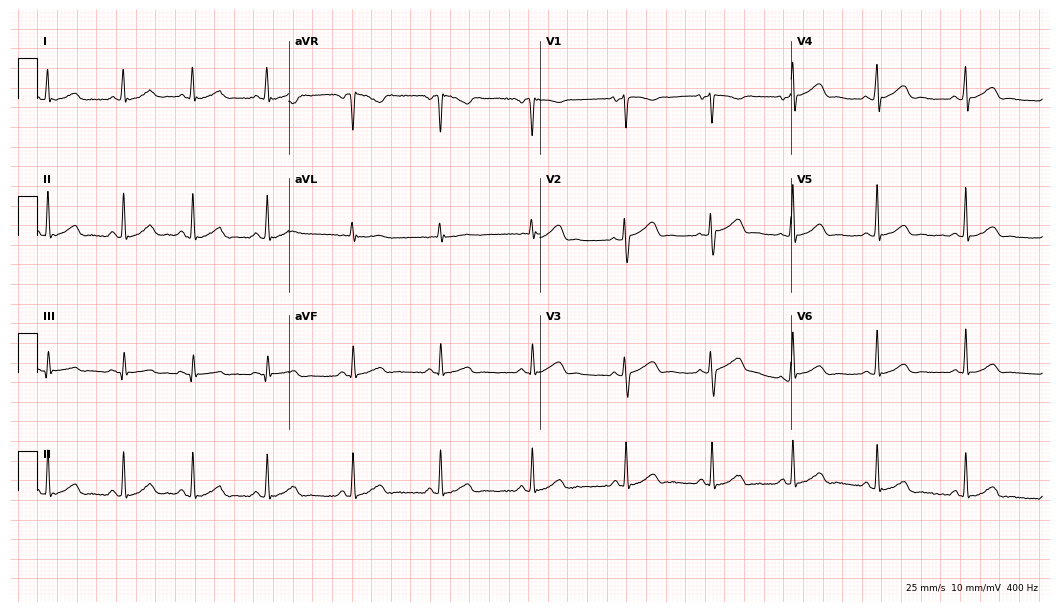
ECG (10.2-second recording at 400 Hz) — a 28-year-old female patient. Labelled as a normal ECG.